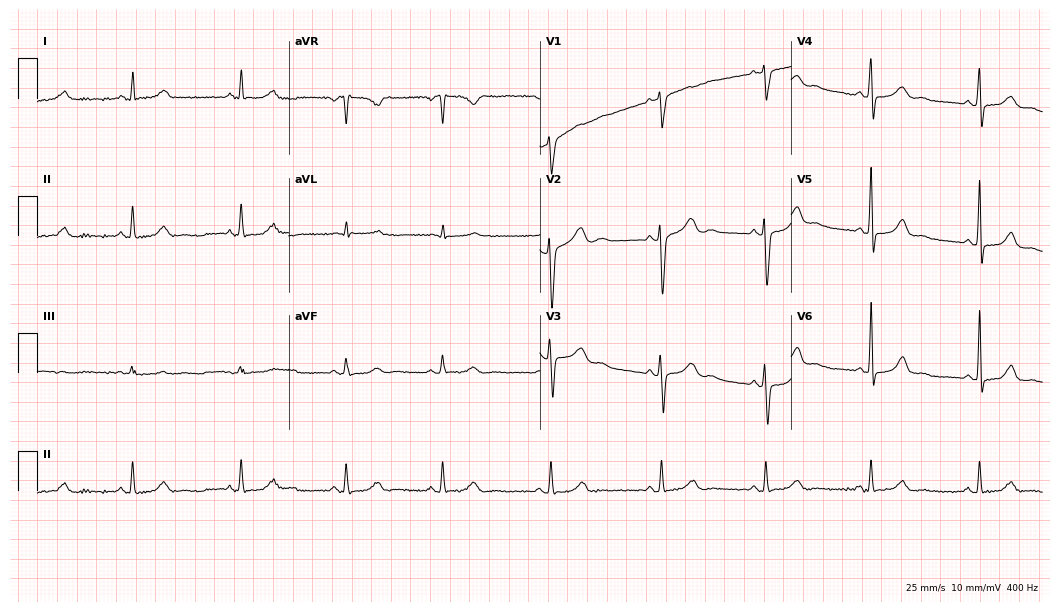
12-lead ECG (10.2-second recording at 400 Hz) from a 38-year-old female. Labelled as a normal ECG.